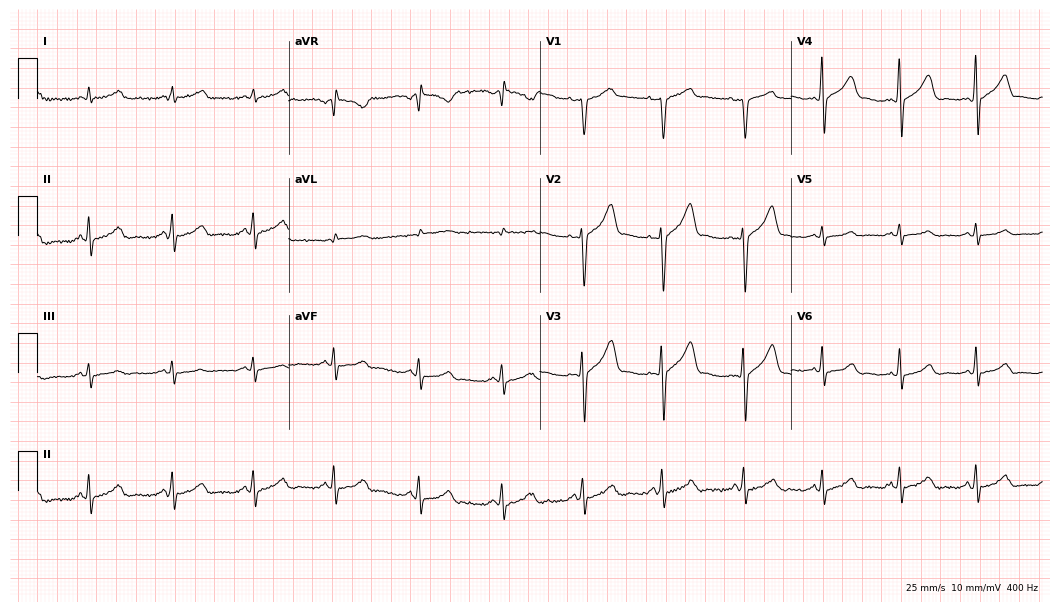
12-lead ECG from a male patient, 36 years old. No first-degree AV block, right bundle branch block (RBBB), left bundle branch block (LBBB), sinus bradycardia, atrial fibrillation (AF) or sinus tachycardia recorded for this tracing. Findings outside these six are not listed.